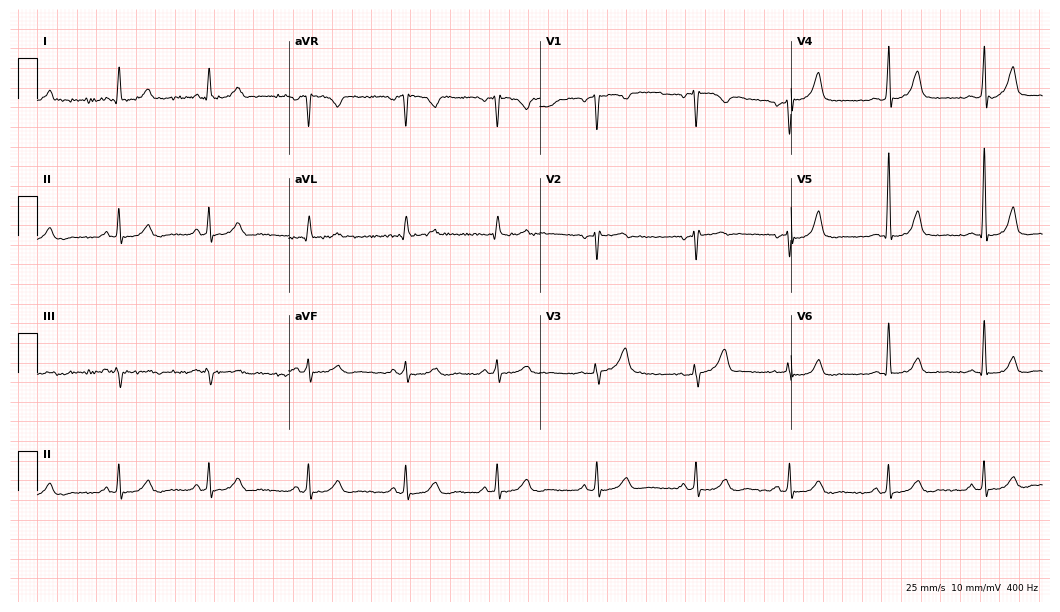
Standard 12-lead ECG recorded from a 47-year-old female. None of these six findings is recorded: first-degree AV block, right bundle branch block, left bundle branch block, sinus bradycardia, atrial fibrillation, sinus tachycardia. Other findings, if any, are not listed.